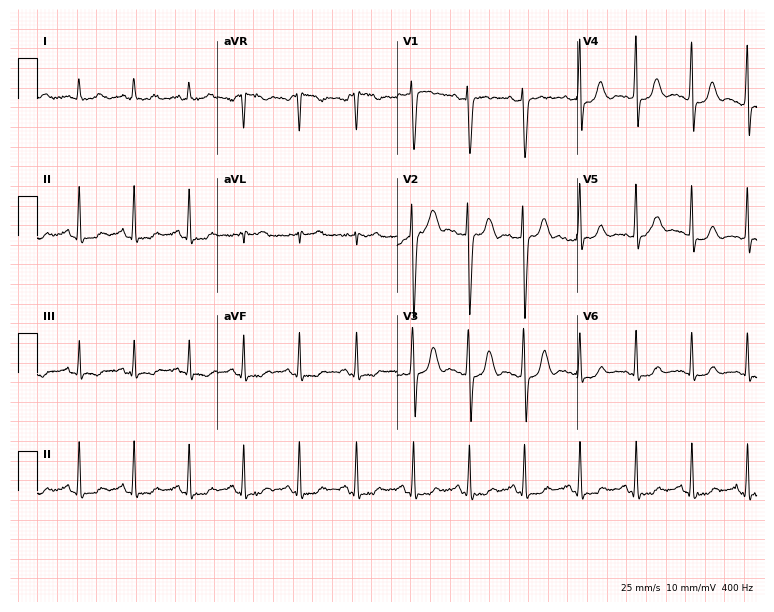
Resting 12-lead electrocardiogram (7.3-second recording at 400 Hz). Patient: a female, 31 years old. The tracing shows sinus tachycardia (a sinus rate of 100 beats per minute or more).